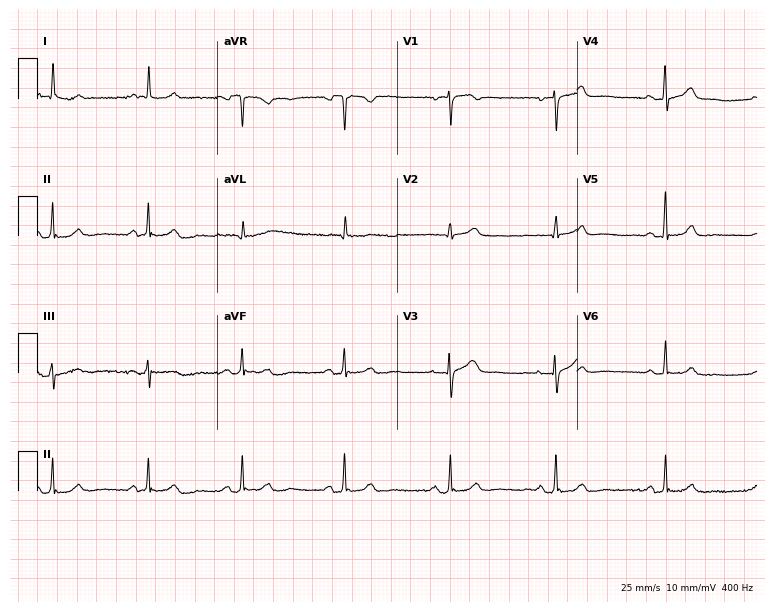
Resting 12-lead electrocardiogram (7.3-second recording at 400 Hz). Patient: a female, 62 years old. None of these six findings is recorded: first-degree AV block, right bundle branch block, left bundle branch block, sinus bradycardia, atrial fibrillation, sinus tachycardia.